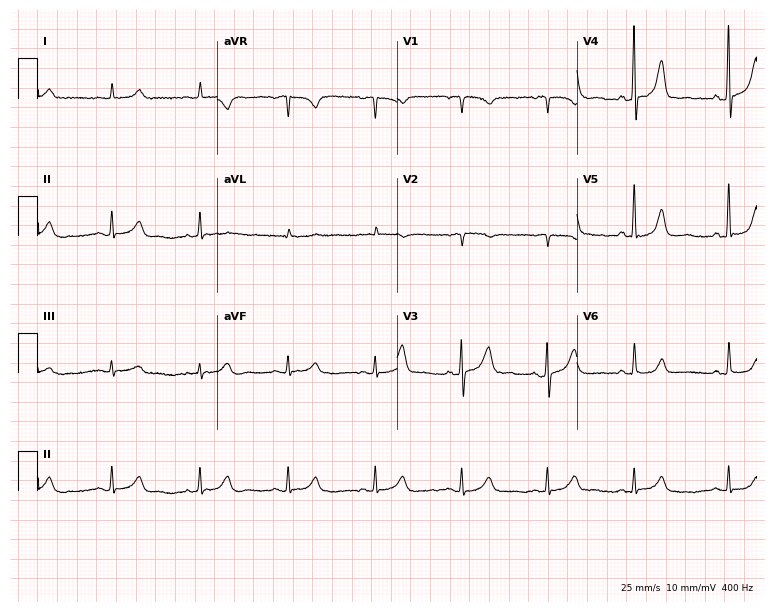
12-lead ECG (7.3-second recording at 400 Hz) from an 83-year-old male patient. Labelled as a normal ECG.